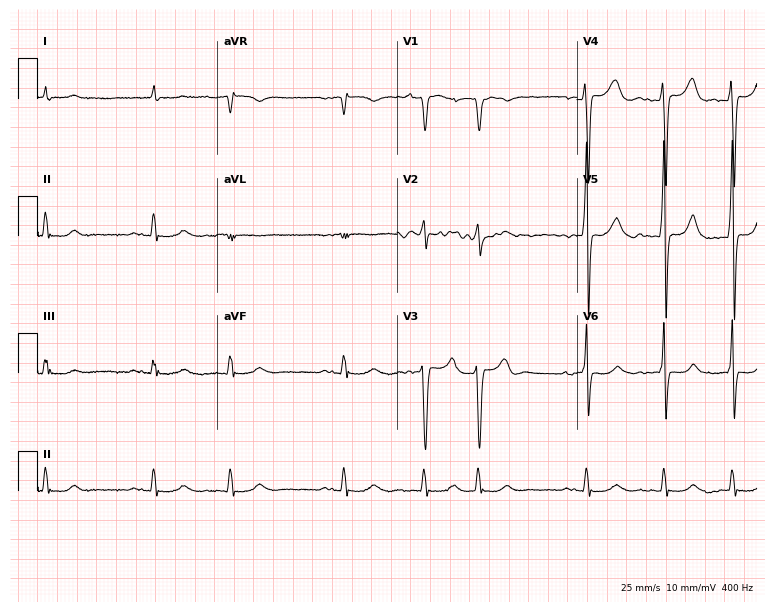
12-lead ECG from an 82-year-old man. Screened for six findings — first-degree AV block, right bundle branch block, left bundle branch block, sinus bradycardia, atrial fibrillation, sinus tachycardia — none is recorded.